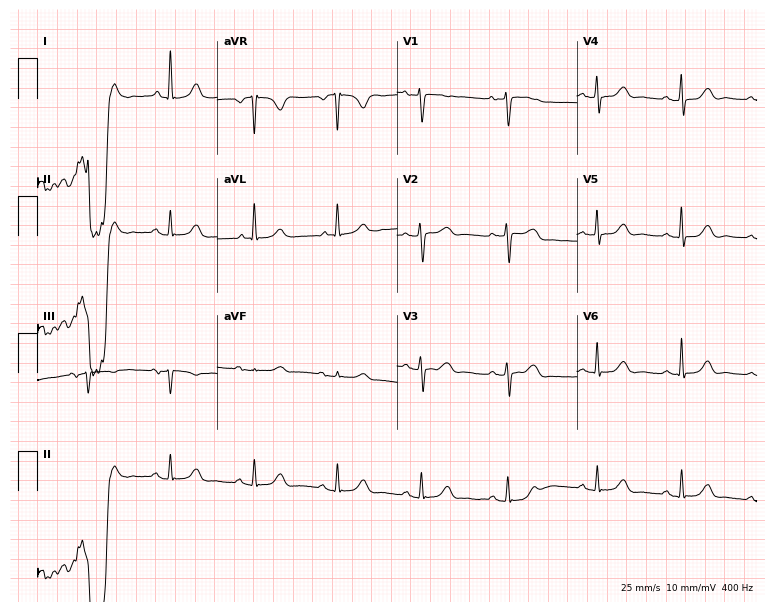
Standard 12-lead ECG recorded from a 74-year-old woman. None of these six findings is recorded: first-degree AV block, right bundle branch block, left bundle branch block, sinus bradycardia, atrial fibrillation, sinus tachycardia. Other findings, if any, are not listed.